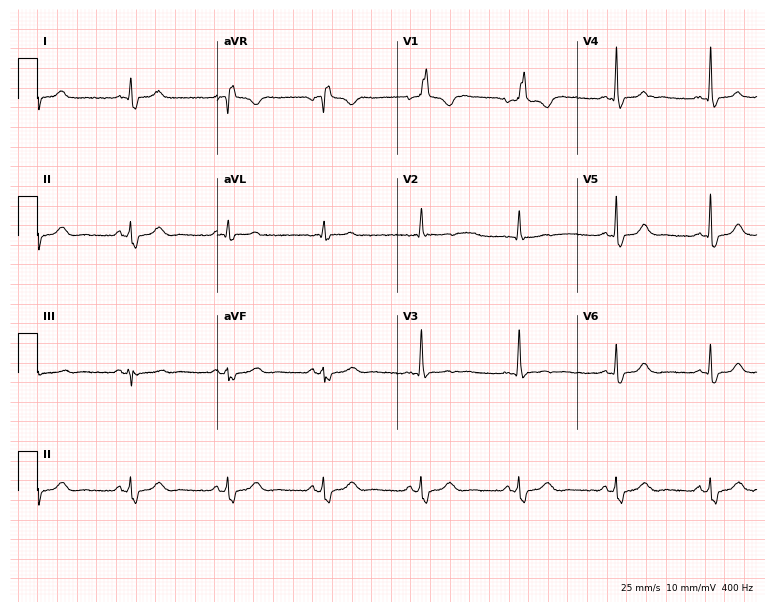
ECG (7.3-second recording at 400 Hz) — a 36-year-old female patient. Findings include right bundle branch block.